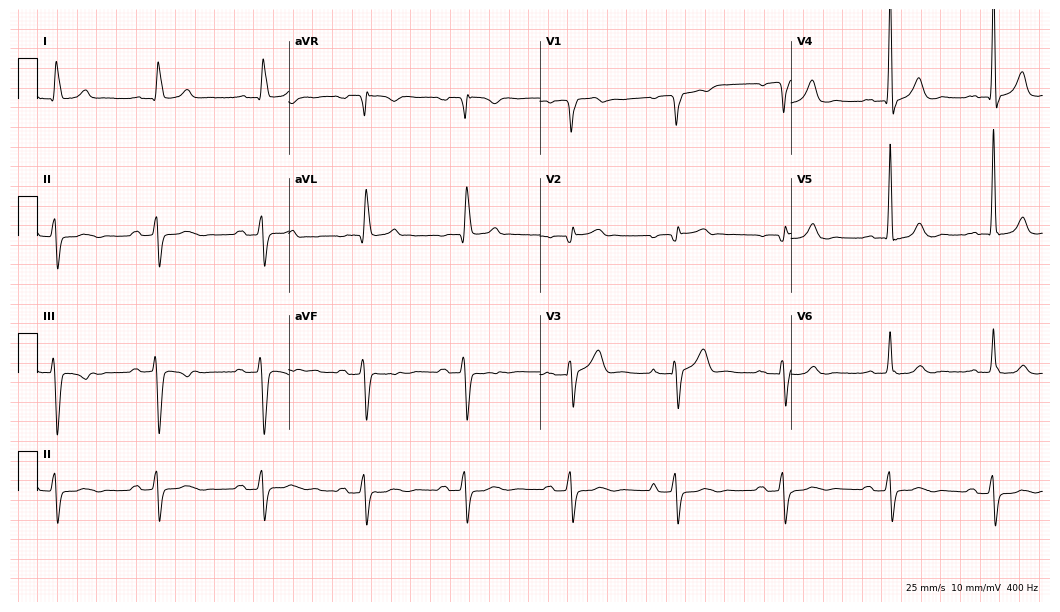
12-lead ECG (10.2-second recording at 400 Hz) from a man, 69 years old. Findings include first-degree AV block.